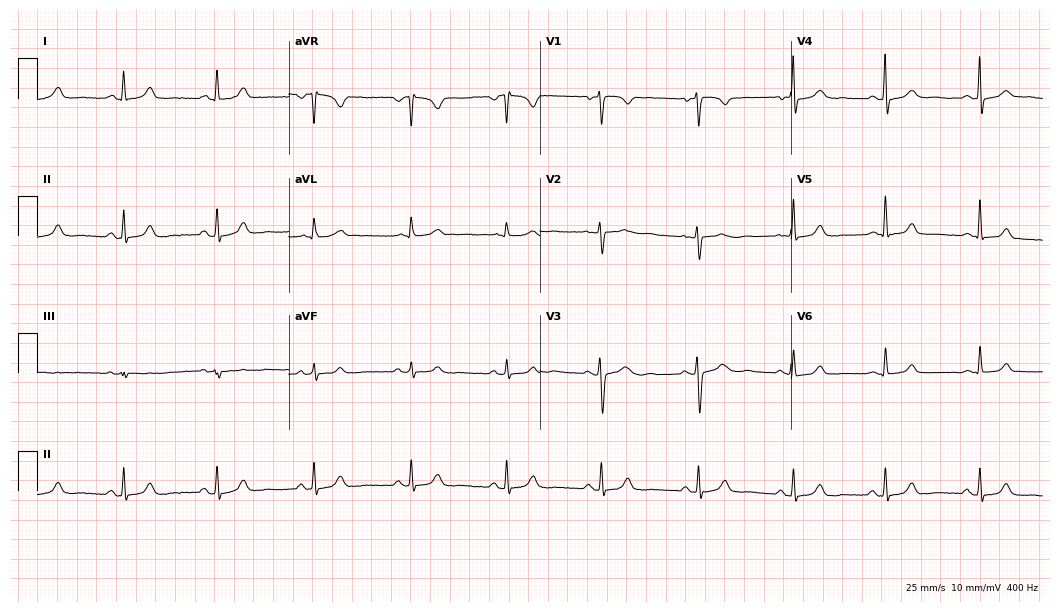
ECG — a 47-year-old female patient. Labelled as a normal ECG.